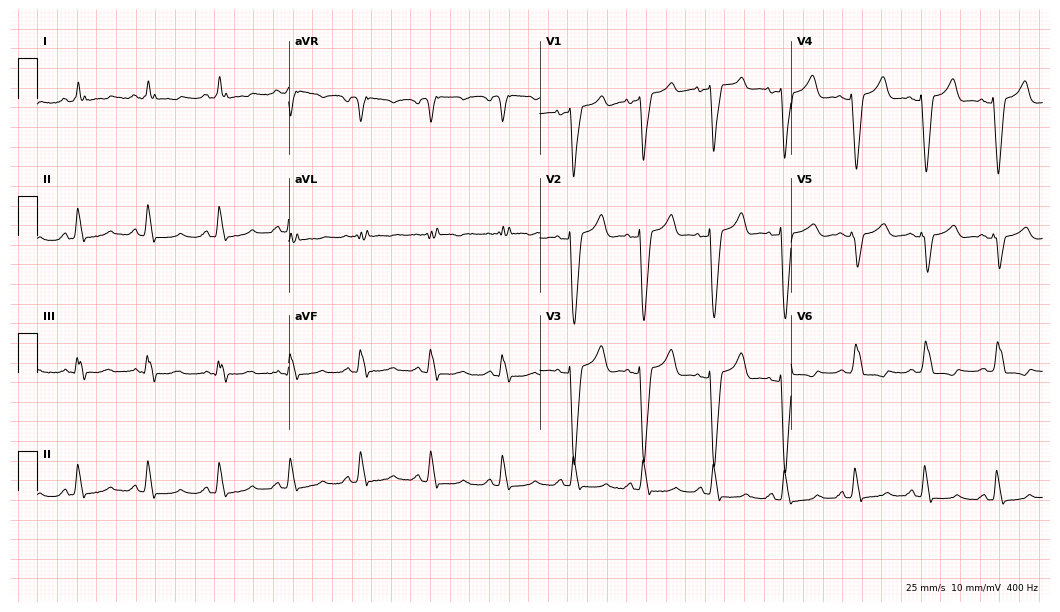
12-lead ECG (10.2-second recording at 400 Hz) from a female, 61 years old. Screened for six findings — first-degree AV block, right bundle branch block (RBBB), left bundle branch block (LBBB), sinus bradycardia, atrial fibrillation (AF), sinus tachycardia — none is recorded.